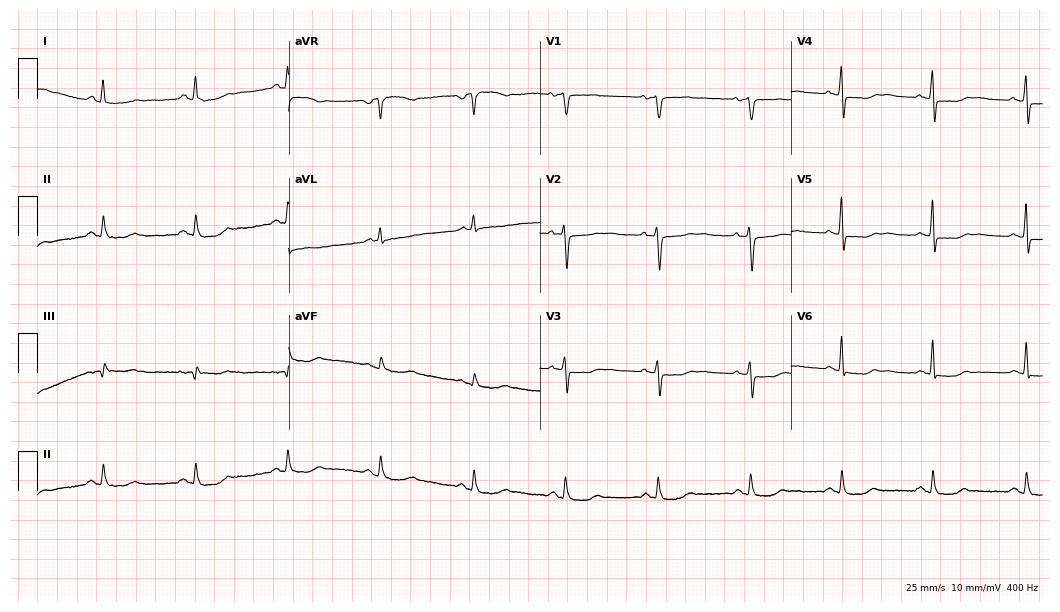
12-lead ECG (10.2-second recording at 400 Hz) from a female, 48 years old. Screened for six findings — first-degree AV block, right bundle branch block, left bundle branch block, sinus bradycardia, atrial fibrillation, sinus tachycardia — none is recorded. Only these six findings were labelled.